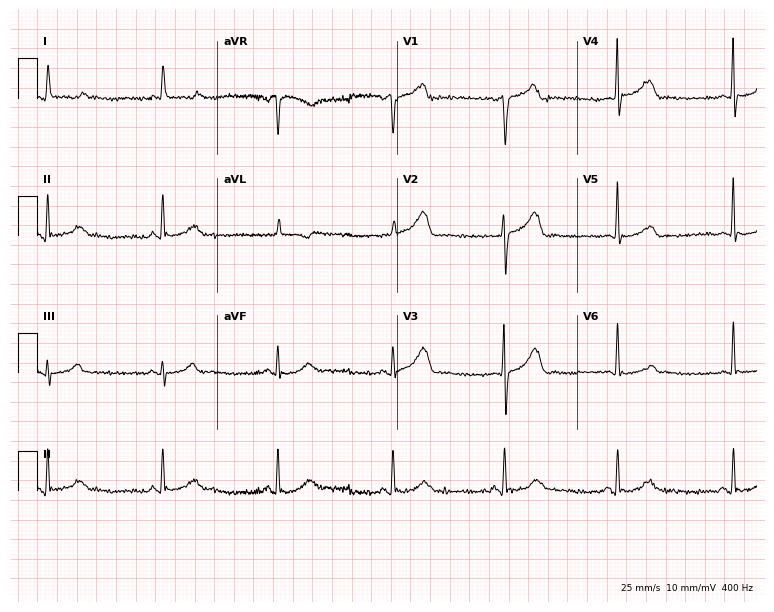
12-lead ECG from a 66-year-old man (7.3-second recording at 400 Hz). No first-degree AV block, right bundle branch block (RBBB), left bundle branch block (LBBB), sinus bradycardia, atrial fibrillation (AF) or sinus tachycardia recorded for this tracing. Only these six findings were labelled.